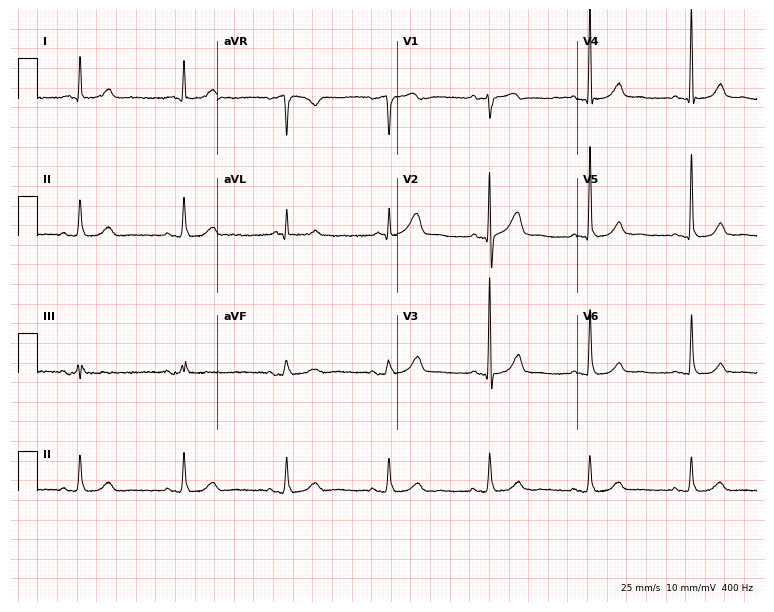
Resting 12-lead electrocardiogram. Patient: a man, 59 years old. None of these six findings is recorded: first-degree AV block, right bundle branch block, left bundle branch block, sinus bradycardia, atrial fibrillation, sinus tachycardia. Only these six findings were labelled.